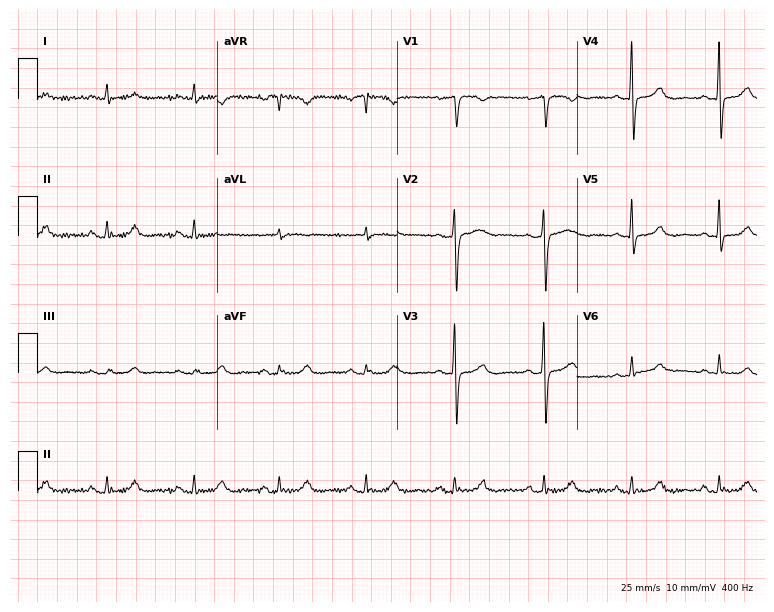
ECG — a 66-year-old female patient. Labelled as a normal ECG.